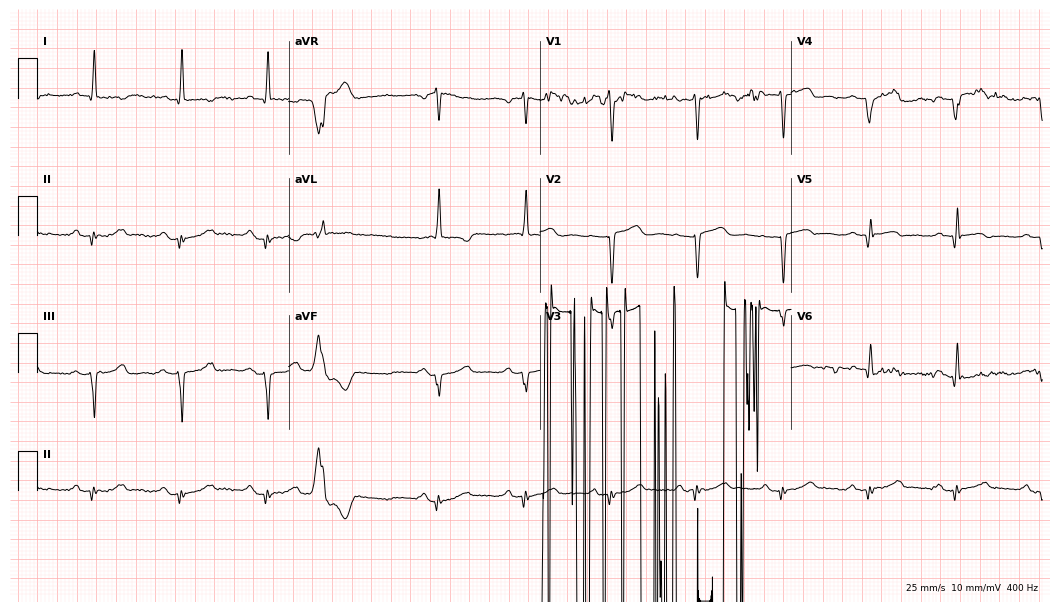
Resting 12-lead electrocardiogram. Patient: a 79-year-old female. None of these six findings is recorded: first-degree AV block, right bundle branch block, left bundle branch block, sinus bradycardia, atrial fibrillation, sinus tachycardia.